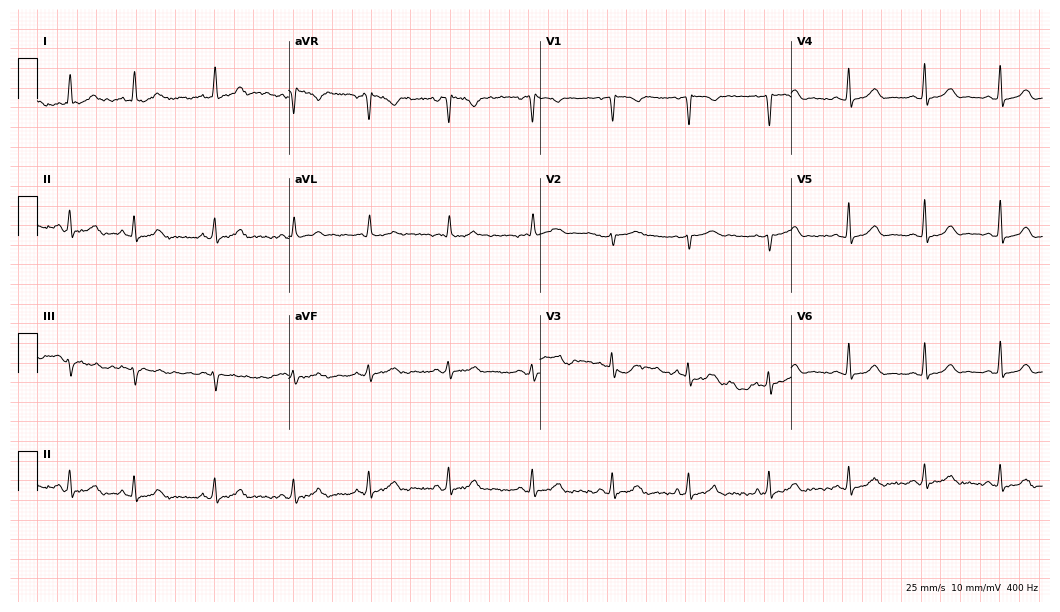
Standard 12-lead ECG recorded from a 34-year-old woman (10.2-second recording at 400 Hz). Read as a normal ECG.